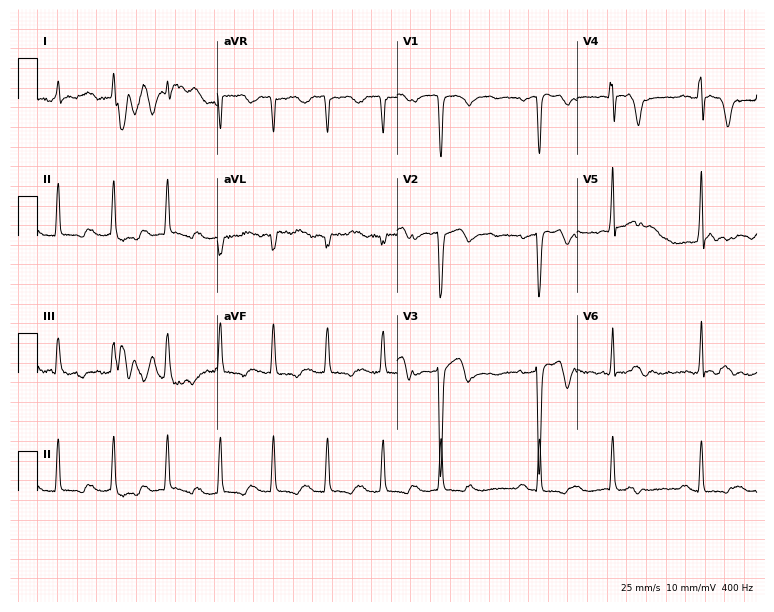
Electrocardiogram, a man, 47 years old. Of the six screened findings (first-degree AV block, right bundle branch block, left bundle branch block, sinus bradycardia, atrial fibrillation, sinus tachycardia), none is recorded.